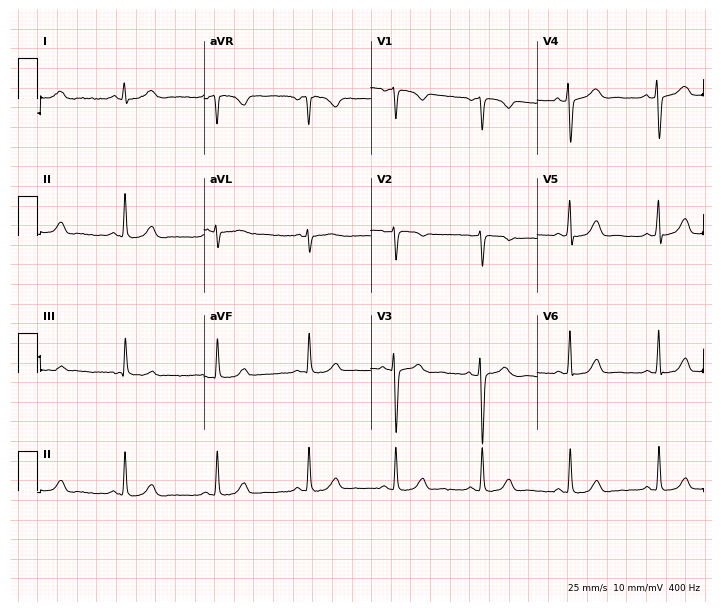
12-lead ECG from a 28-year-old woman. No first-degree AV block, right bundle branch block, left bundle branch block, sinus bradycardia, atrial fibrillation or sinus tachycardia recorded for this tracing.